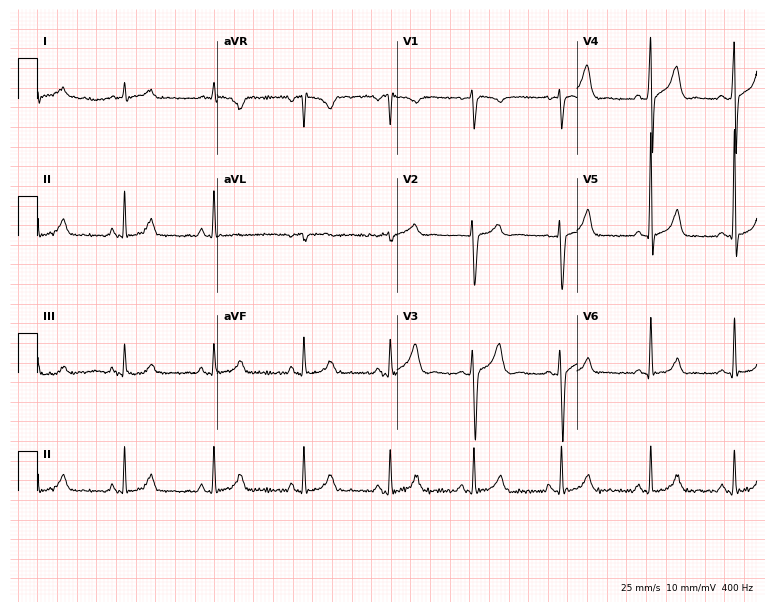
Resting 12-lead electrocardiogram (7.3-second recording at 400 Hz). Patient: a man, 37 years old. Read as a normal ECG.